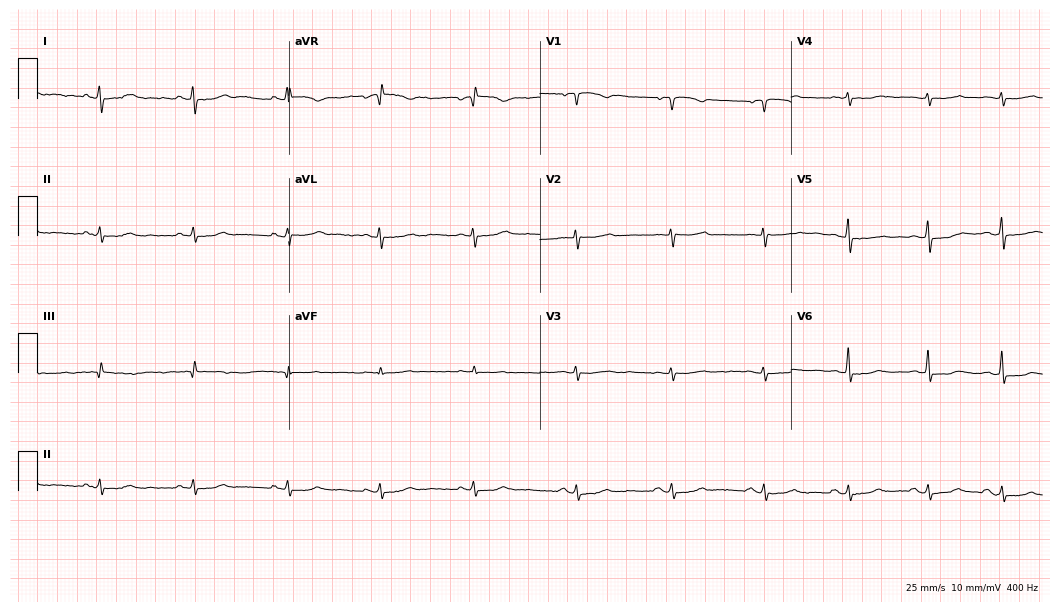
ECG — a woman, 68 years old. Screened for six findings — first-degree AV block, right bundle branch block, left bundle branch block, sinus bradycardia, atrial fibrillation, sinus tachycardia — none is recorded.